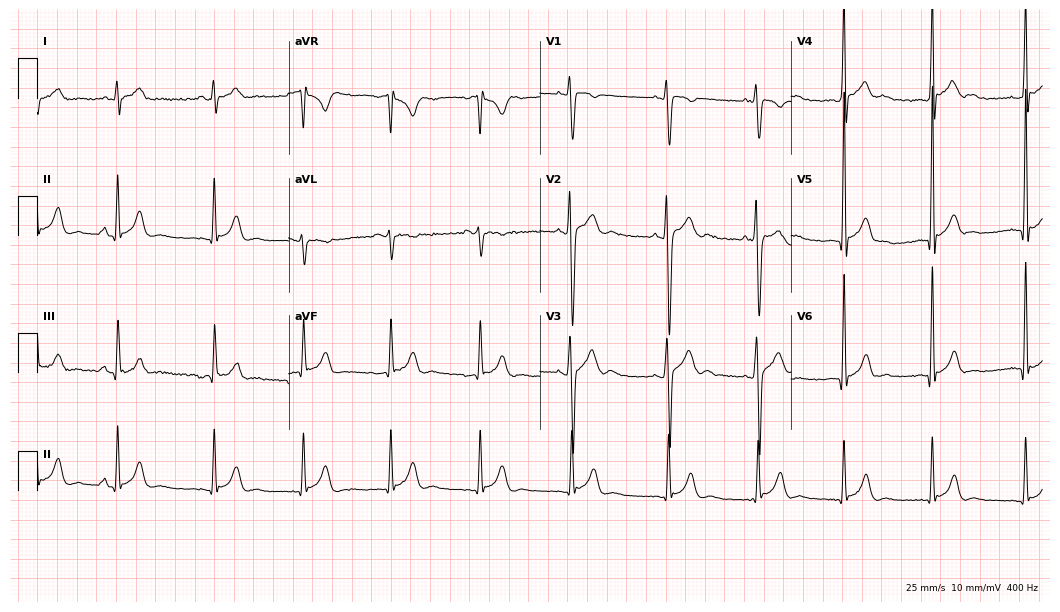
Electrocardiogram (10.2-second recording at 400 Hz), an 18-year-old man. Overall reading on record: normal ECG.